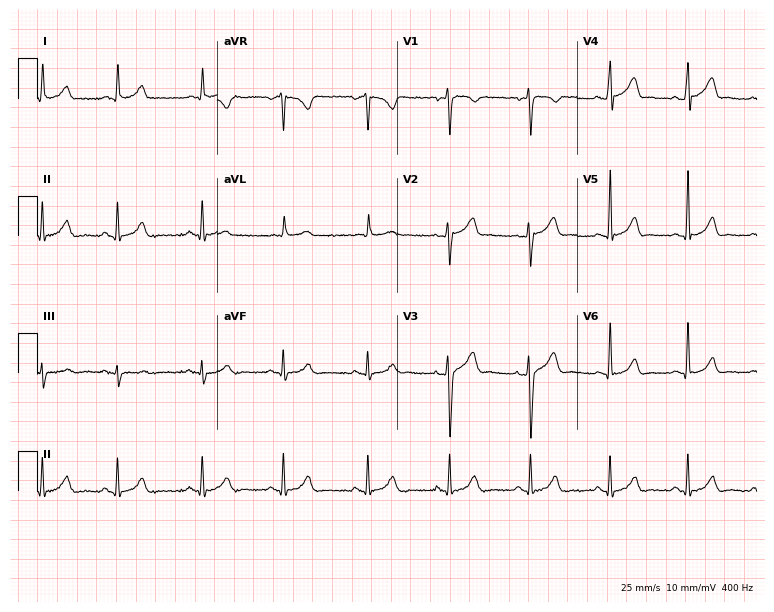
Electrocardiogram, a male patient, 31 years old. Overall reading on record: normal ECG.